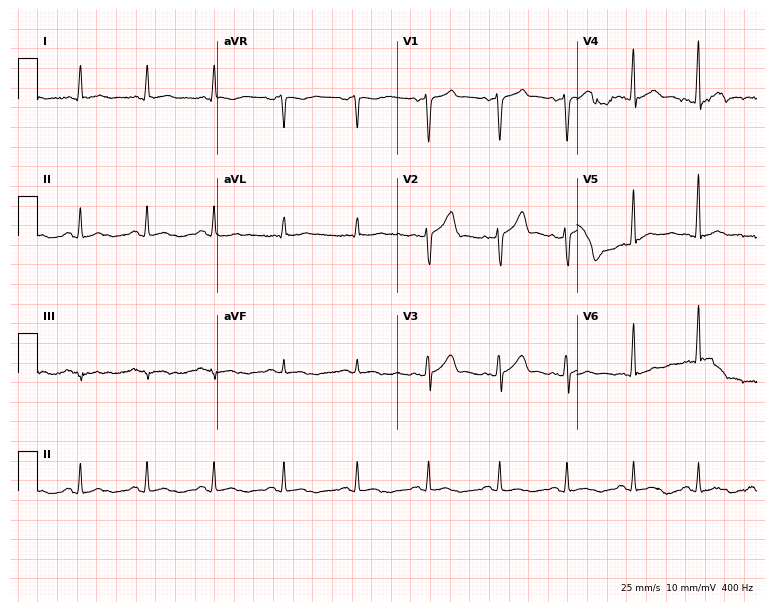
12-lead ECG from a man, 54 years old (7.3-second recording at 400 Hz). No first-degree AV block, right bundle branch block, left bundle branch block, sinus bradycardia, atrial fibrillation or sinus tachycardia recorded for this tracing.